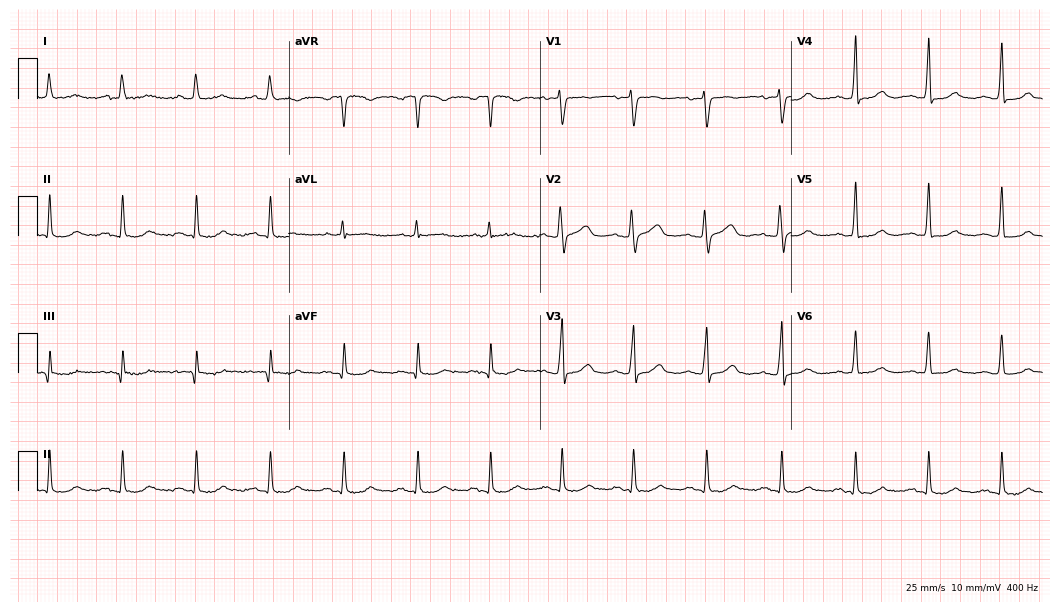
Resting 12-lead electrocardiogram. Patient: a woman, 43 years old. Read as a normal ECG.